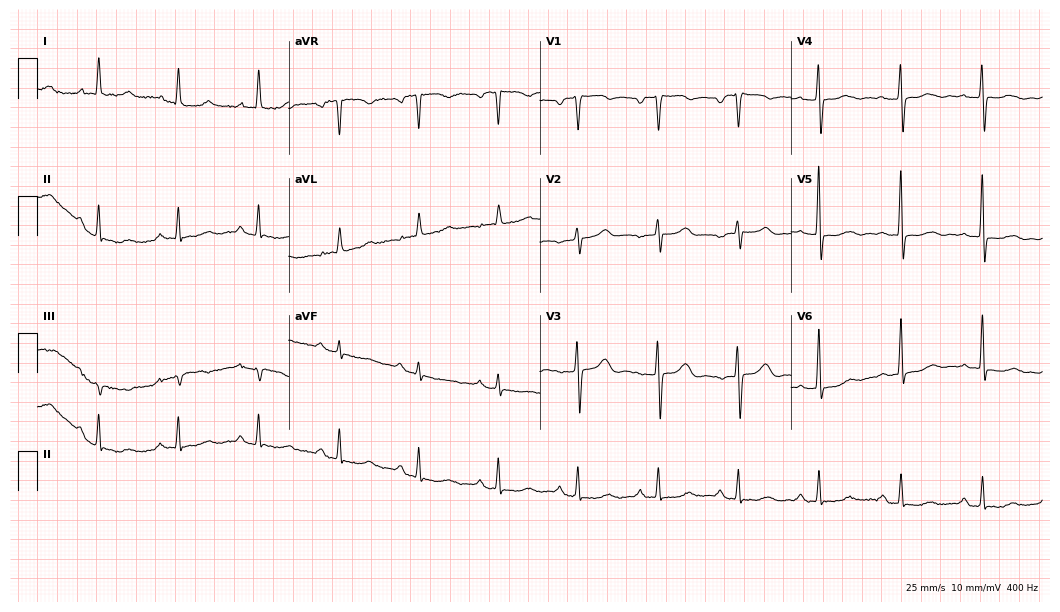
ECG (10.2-second recording at 400 Hz) — a female, 71 years old. Findings include first-degree AV block.